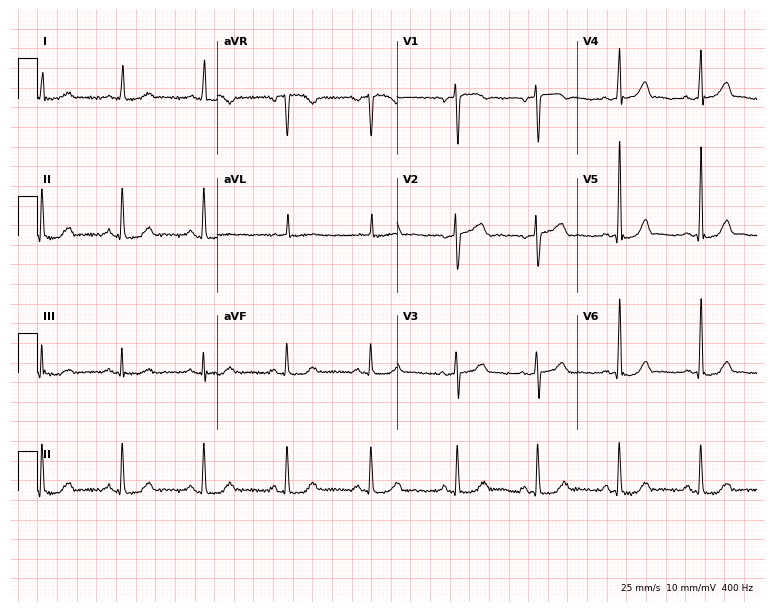
Standard 12-lead ECG recorded from a 44-year-old female (7.3-second recording at 400 Hz). Read as a normal ECG.